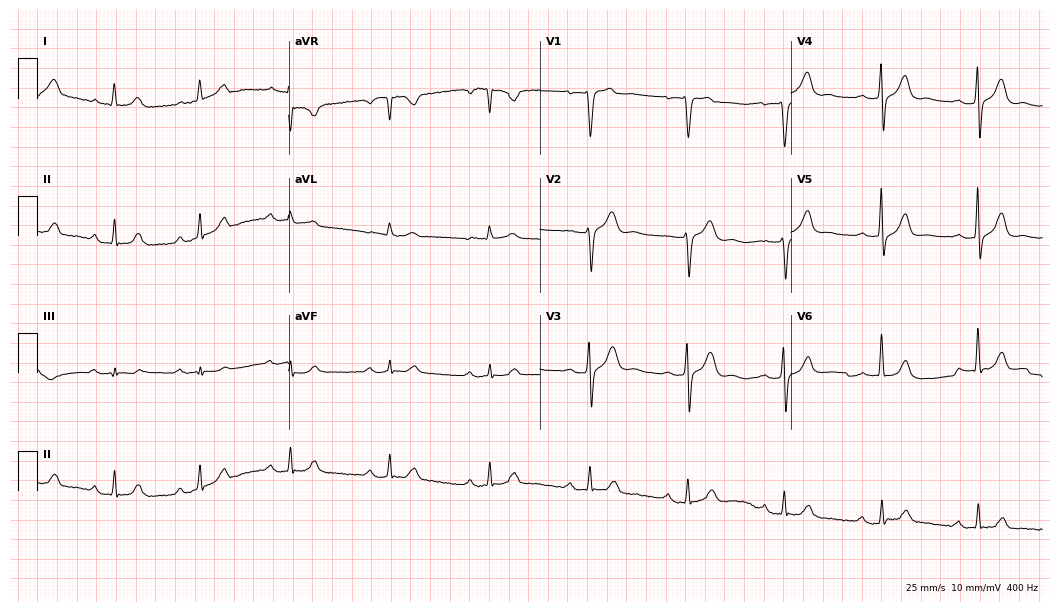
ECG — a 53-year-old man. Labelled as a normal ECG.